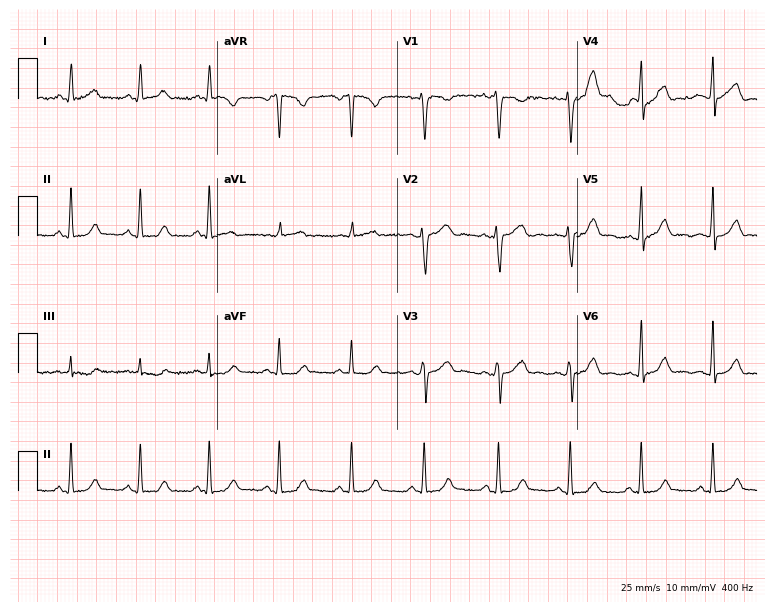
ECG (7.3-second recording at 400 Hz) — a female, 32 years old. Labelled as a normal ECG.